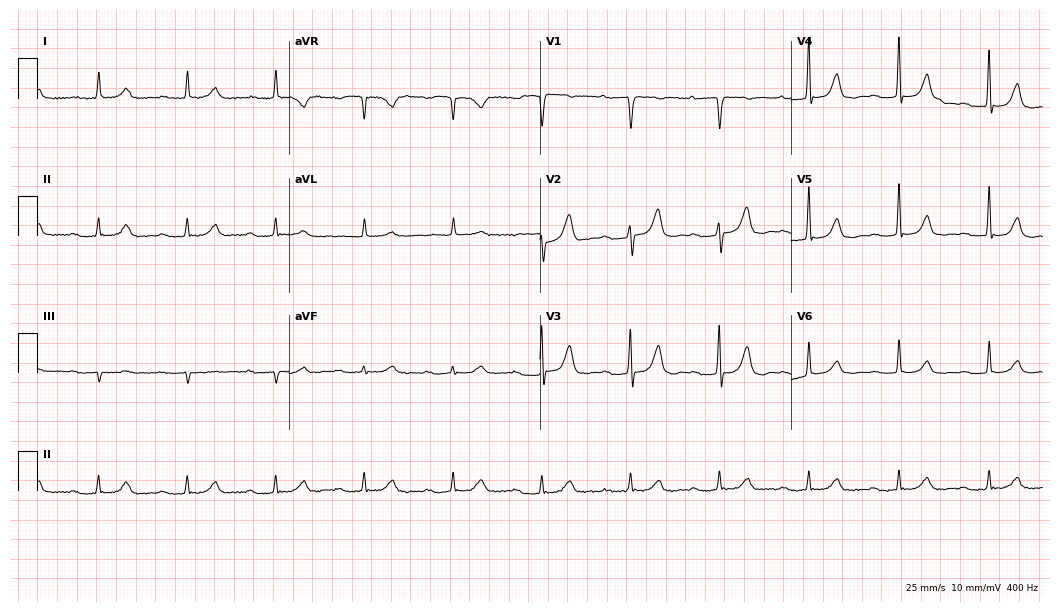
Standard 12-lead ECG recorded from an 84-year-old man. The tracing shows first-degree AV block.